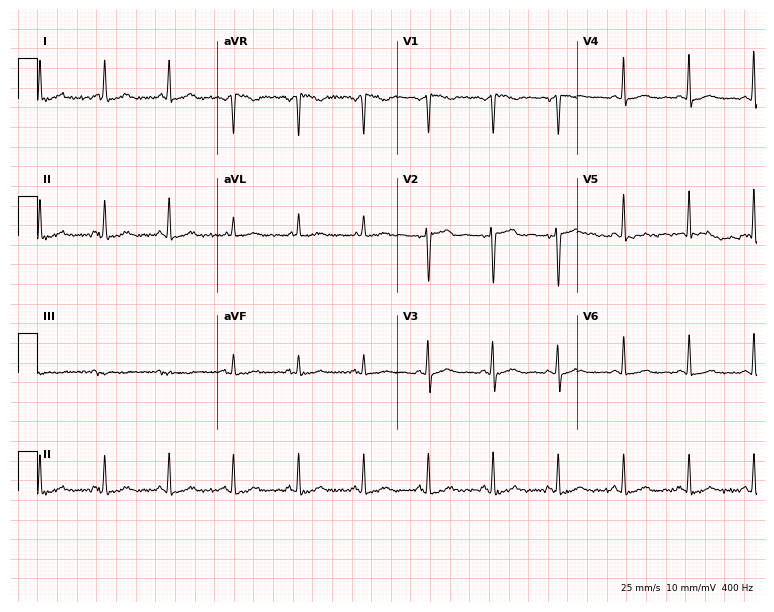
12-lead ECG from a 49-year-old female. Recorded interpretation: within normal limits.